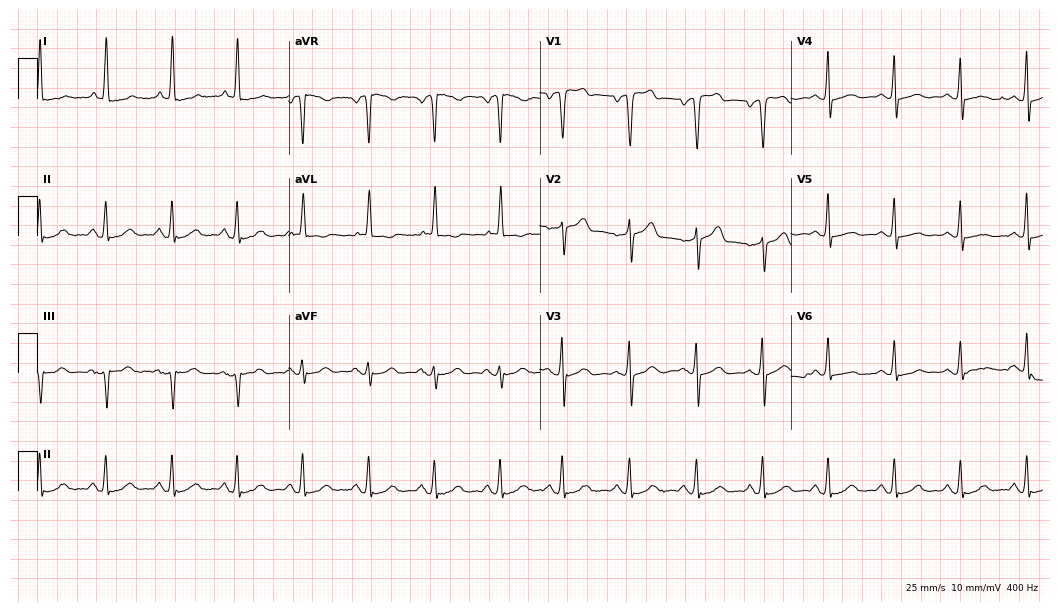
ECG — a 76-year-old woman. Screened for six findings — first-degree AV block, right bundle branch block (RBBB), left bundle branch block (LBBB), sinus bradycardia, atrial fibrillation (AF), sinus tachycardia — none is recorded.